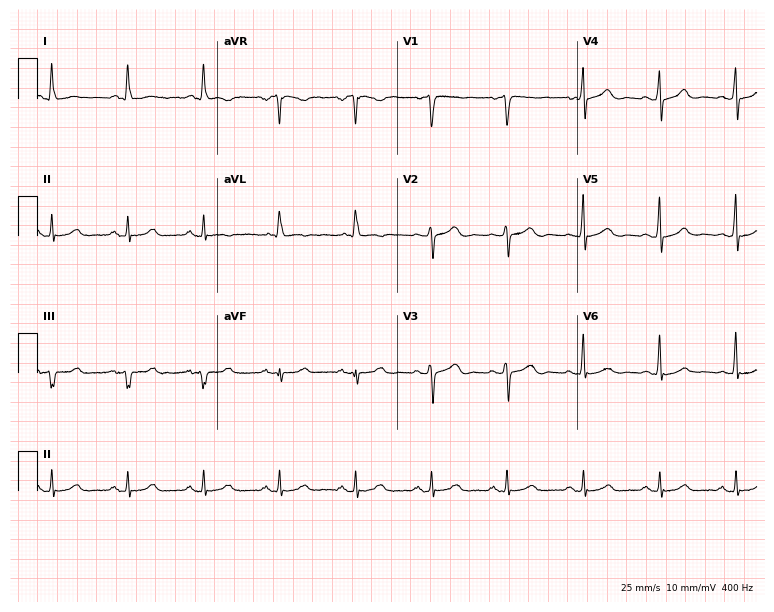
Standard 12-lead ECG recorded from a male, 81 years old. None of these six findings is recorded: first-degree AV block, right bundle branch block, left bundle branch block, sinus bradycardia, atrial fibrillation, sinus tachycardia. Only these six findings were labelled.